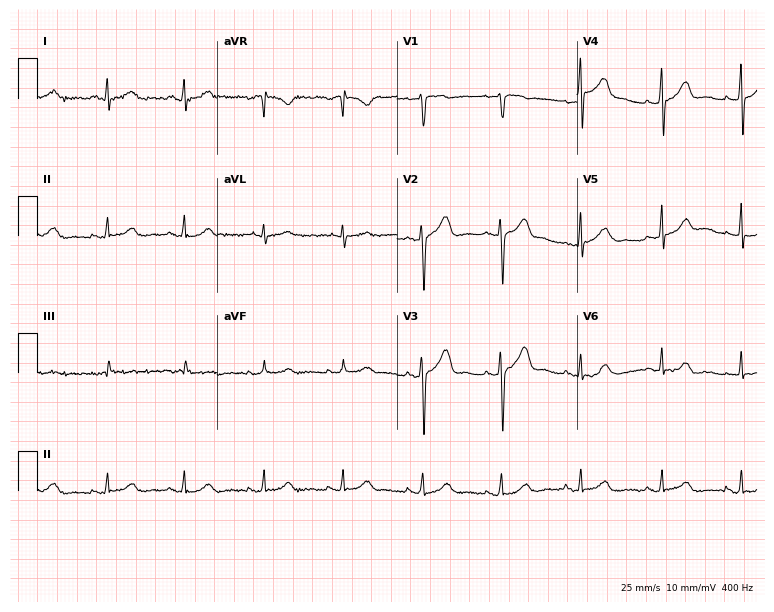
12-lead ECG (7.3-second recording at 400 Hz) from a 48-year-old female patient. Labelled as a normal ECG.